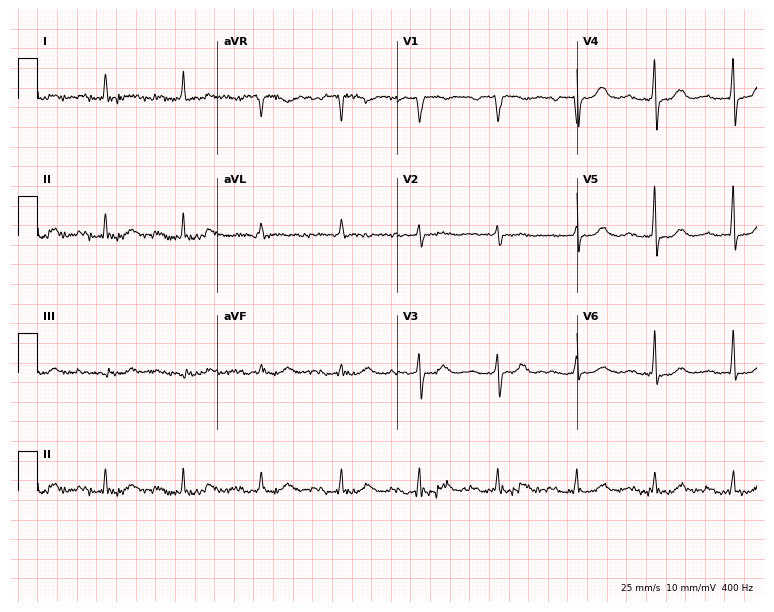
ECG — a male patient, 79 years old. Screened for six findings — first-degree AV block, right bundle branch block, left bundle branch block, sinus bradycardia, atrial fibrillation, sinus tachycardia — none is recorded. Findings outside these six are not listed.